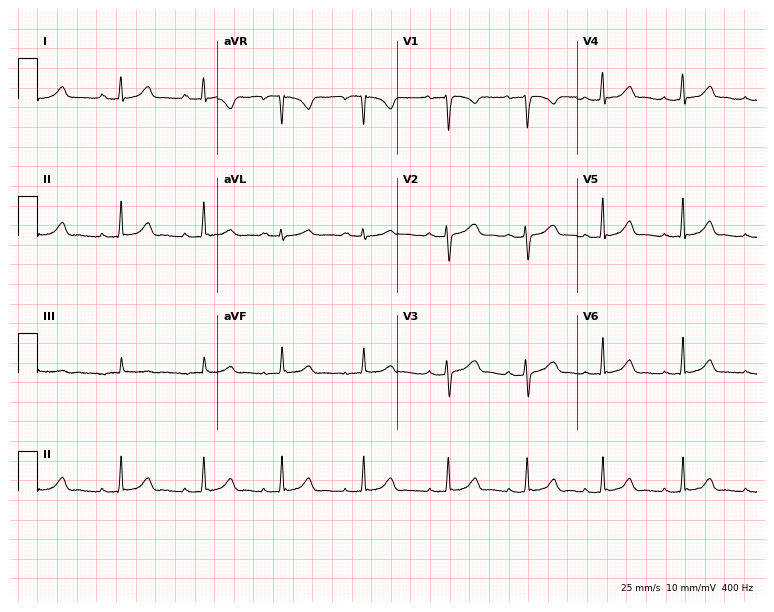
Electrocardiogram (7.3-second recording at 400 Hz), a 23-year-old female. Overall reading on record: normal ECG.